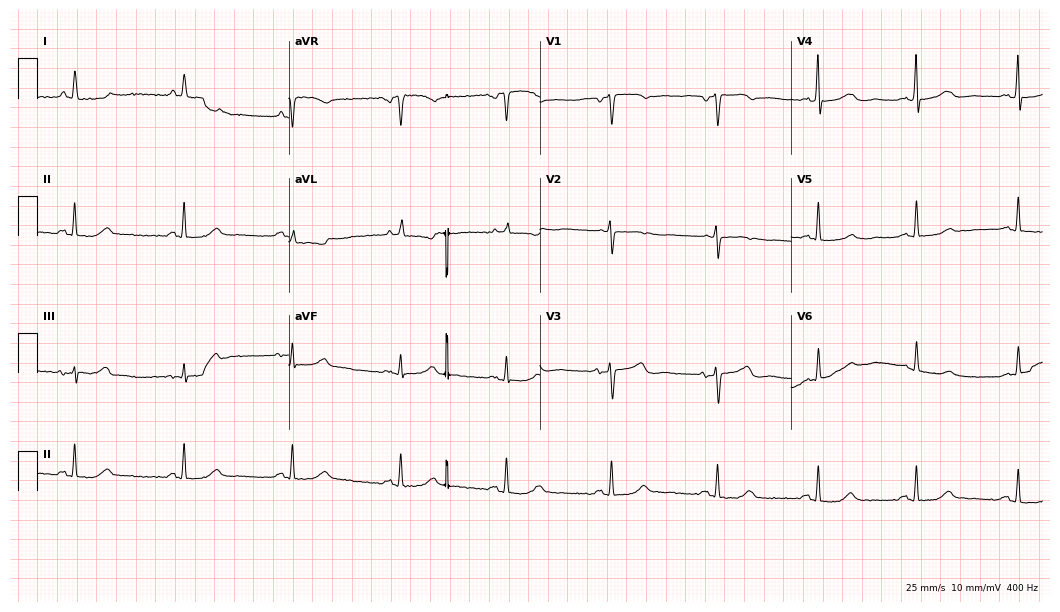
12-lead ECG (10.2-second recording at 400 Hz) from a 58-year-old female. Labelled as a normal ECG.